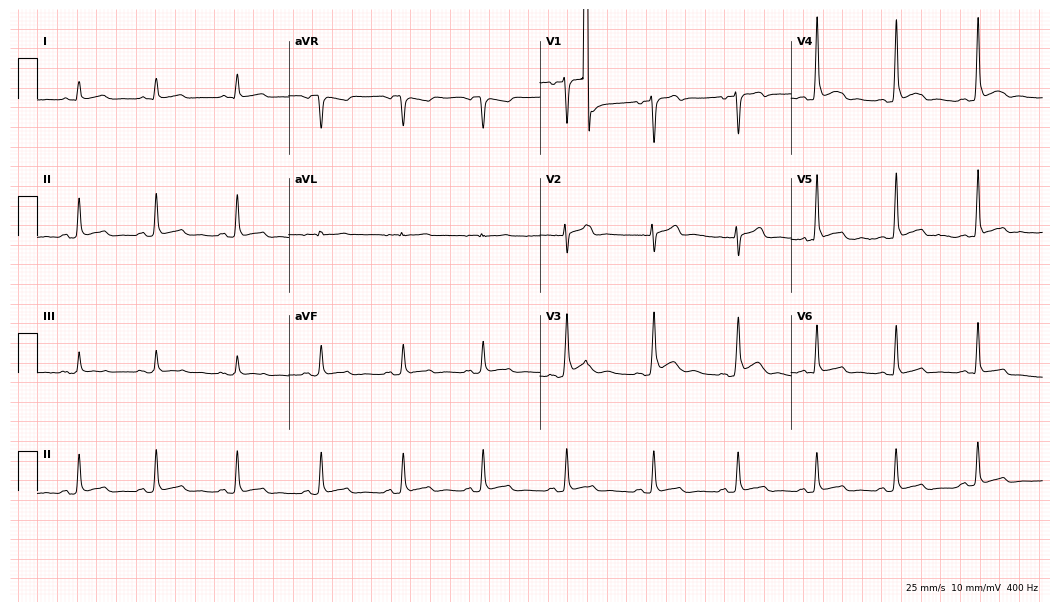
12-lead ECG from a 24-year-old male patient. Screened for six findings — first-degree AV block, right bundle branch block, left bundle branch block, sinus bradycardia, atrial fibrillation, sinus tachycardia — none is recorded.